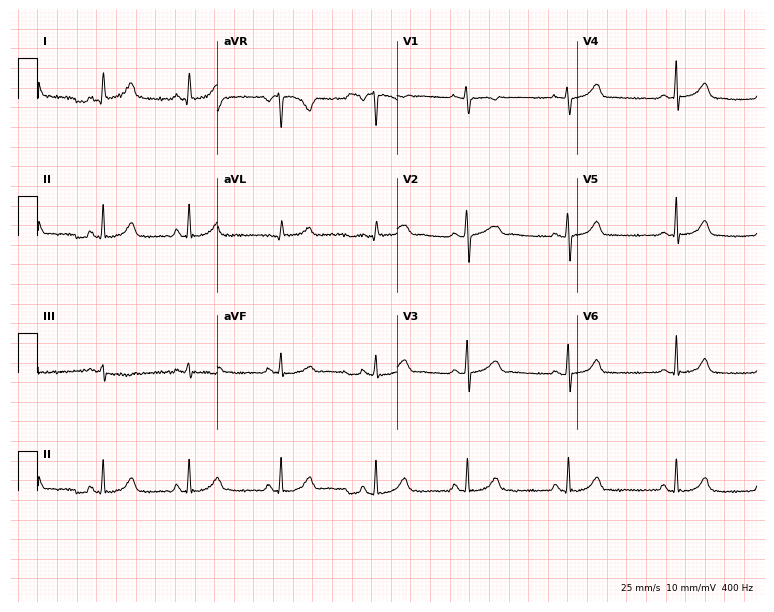
Standard 12-lead ECG recorded from a female patient, 23 years old (7.3-second recording at 400 Hz). Read as a normal ECG.